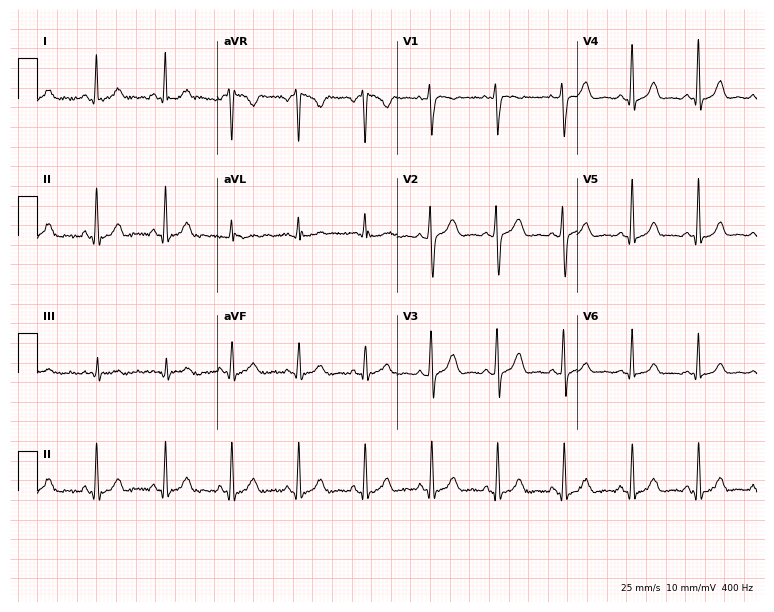
Standard 12-lead ECG recorded from a female, 19 years old (7.3-second recording at 400 Hz). Read as a normal ECG.